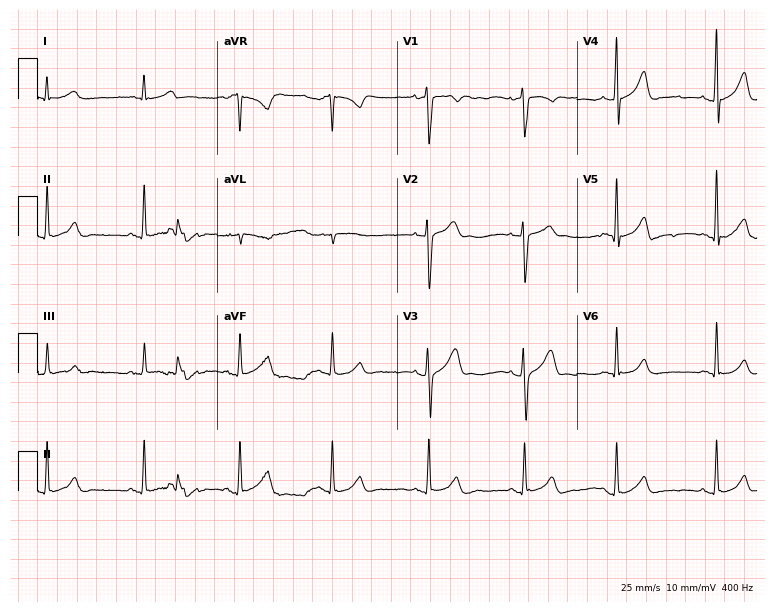
Resting 12-lead electrocardiogram. Patient: a 35-year-old male. Read as a normal ECG.